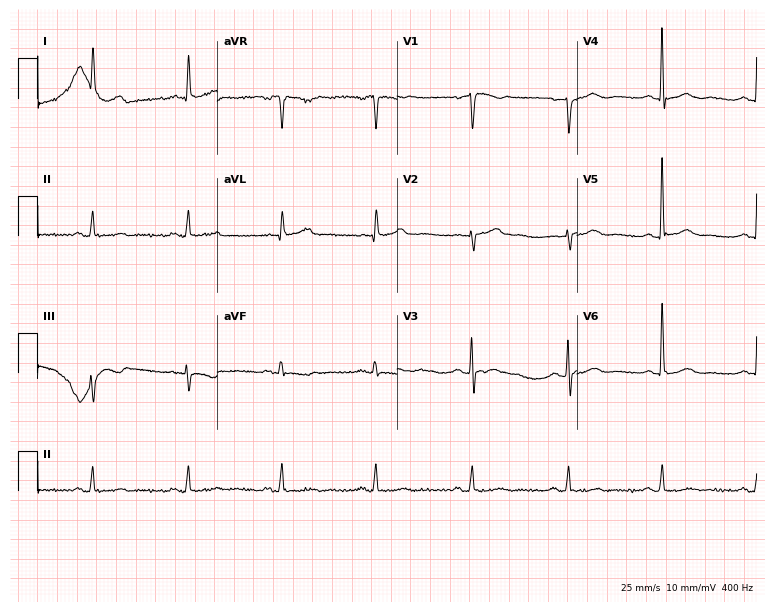
Electrocardiogram (7.3-second recording at 400 Hz), a woman, 54 years old. Of the six screened findings (first-degree AV block, right bundle branch block, left bundle branch block, sinus bradycardia, atrial fibrillation, sinus tachycardia), none is recorded. Other findings, if any, are not listed.